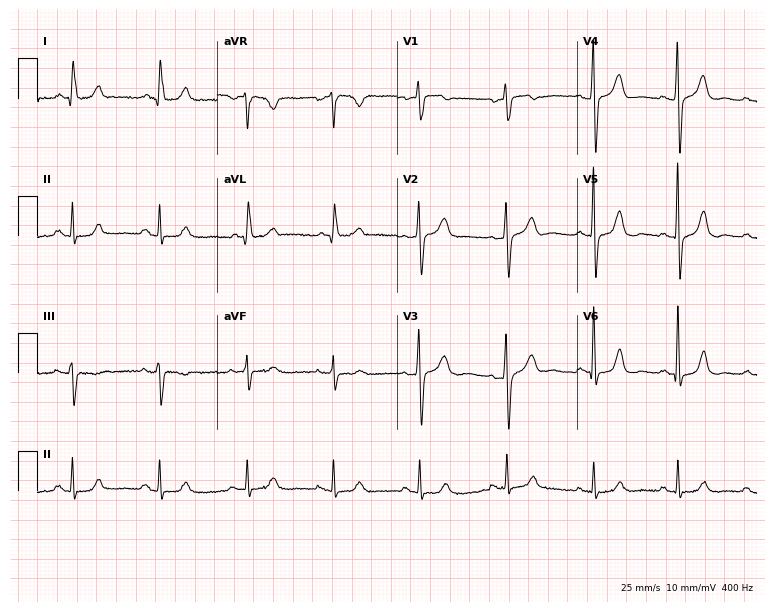
Electrocardiogram (7.3-second recording at 400 Hz), a female, 59 years old. Of the six screened findings (first-degree AV block, right bundle branch block, left bundle branch block, sinus bradycardia, atrial fibrillation, sinus tachycardia), none is recorded.